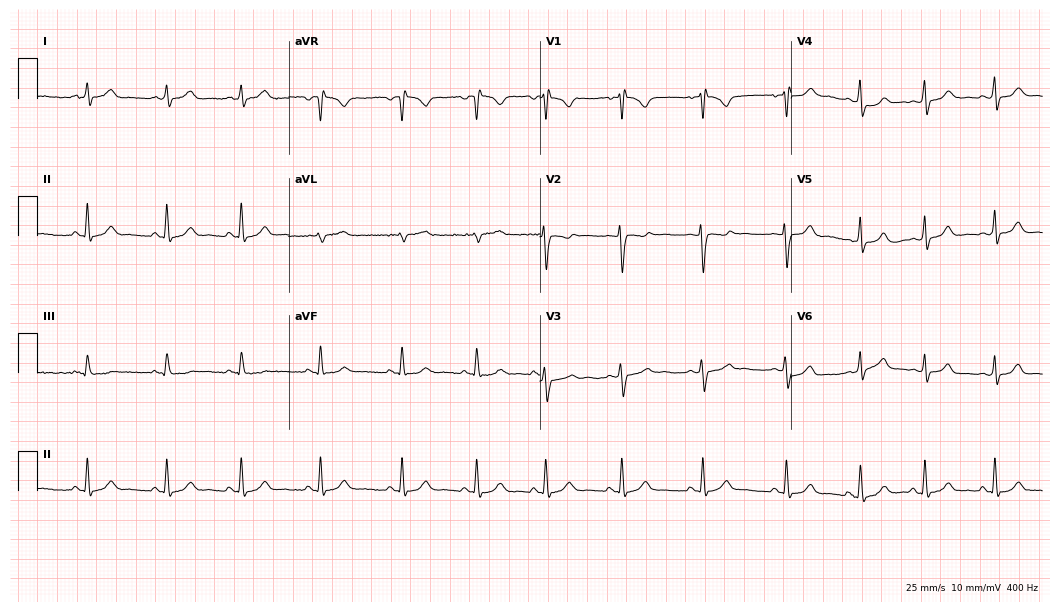
Standard 12-lead ECG recorded from a female patient, 23 years old (10.2-second recording at 400 Hz). None of these six findings is recorded: first-degree AV block, right bundle branch block (RBBB), left bundle branch block (LBBB), sinus bradycardia, atrial fibrillation (AF), sinus tachycardia. Other findings, if any, are not listed.